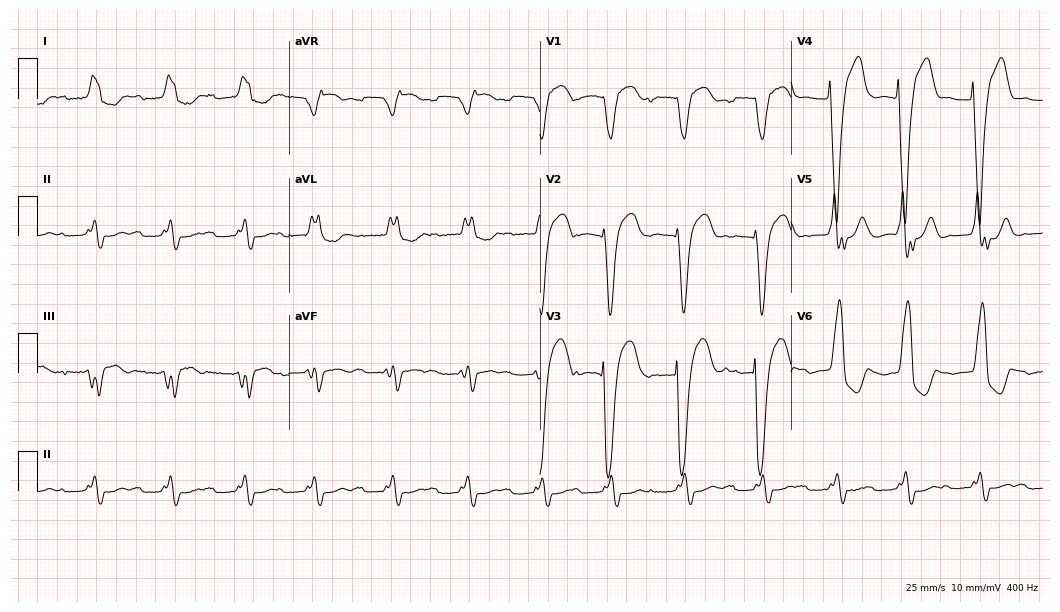
Standard 12-lead ECG recorded from an 87-year-old male. The tracing shows left bundle branch block.